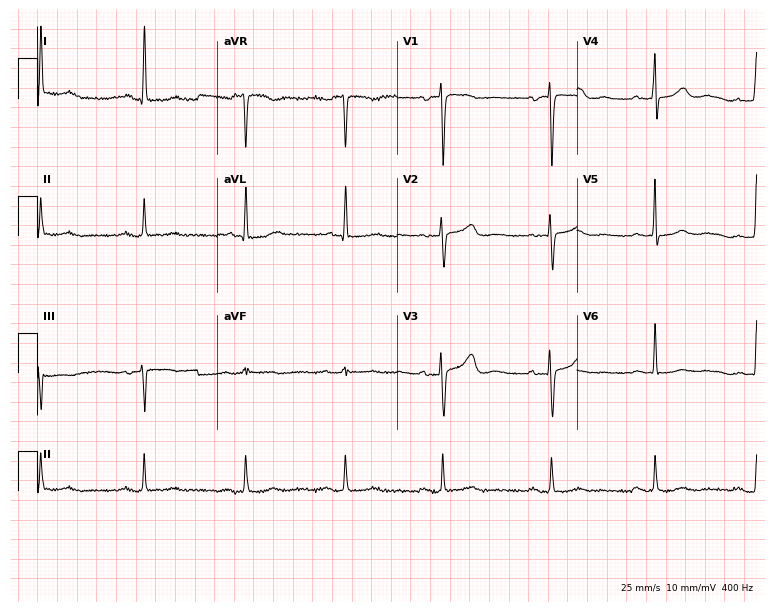
ECG (7.3-second recording at 400 Hz) — a 79-year-old woman. Findings include first-degree AV block.